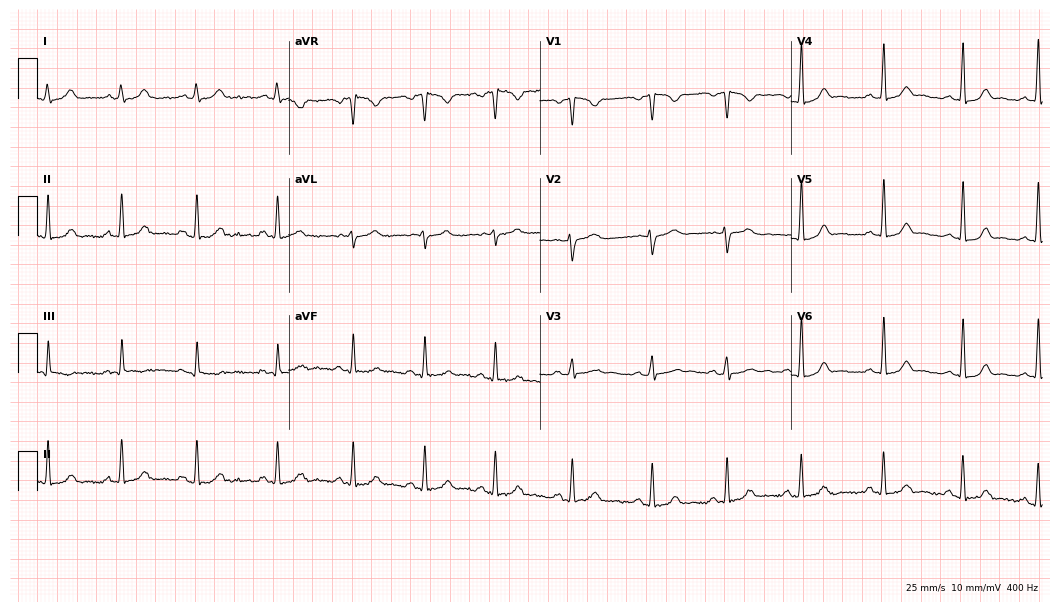
12-lead ECG from a 33-year-old female. Labelled as a normal ECG.